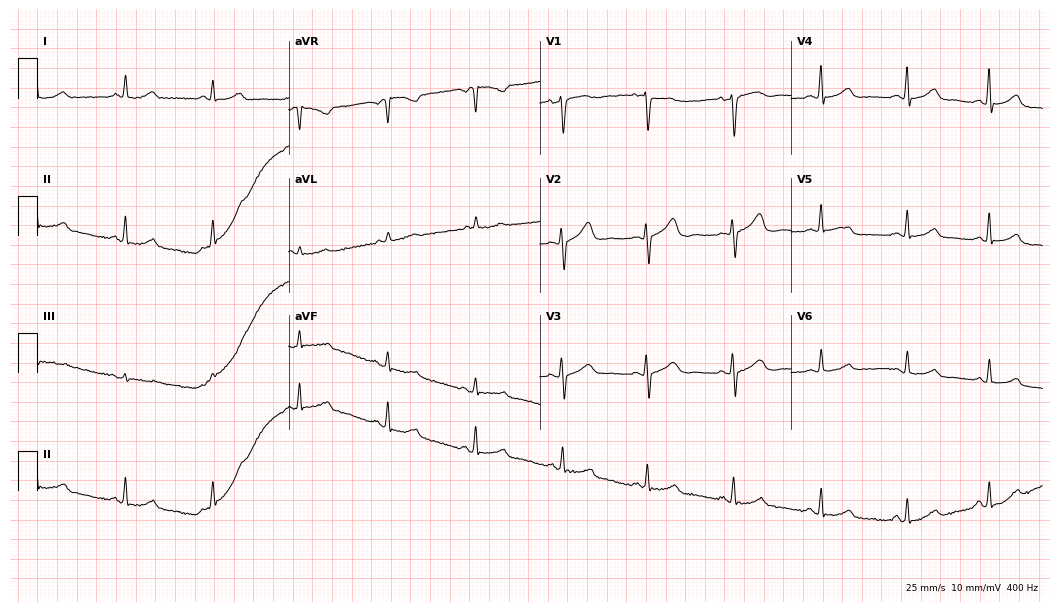
Electrocardiogram, a woman, 55 years old. Overall reading on record: normal ECG.